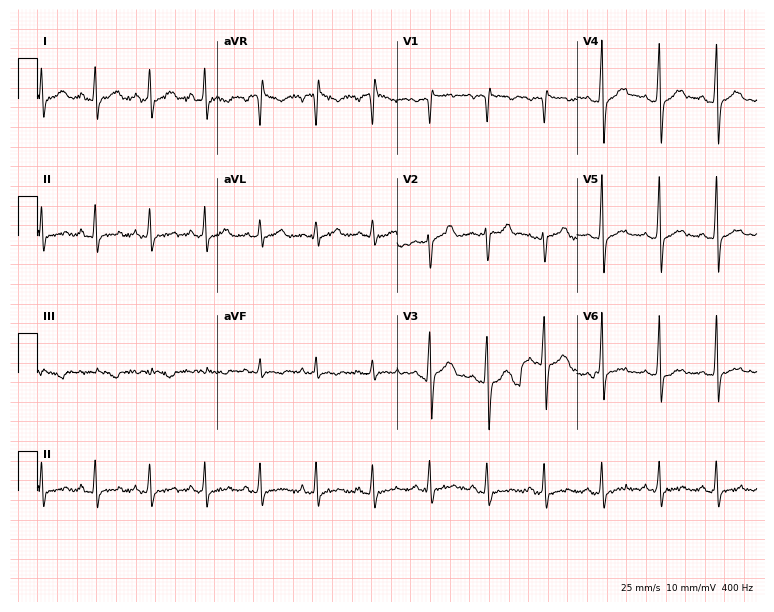
12-lead ECG (7.3-second recording at 400 Hz) from a 40-year-old male patient. Screened for six findings — first-degree AV block, right bundle branch block (RBBB), left bundle branch block (LBBB), sinus bradycardia, atrial fibrillation (AF), sinus tachycardia — none is recorded.